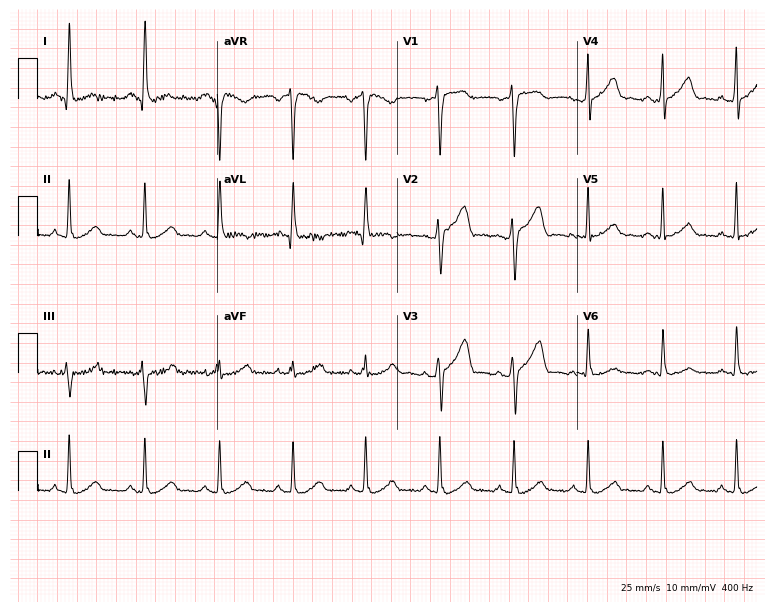
12-lead ECG from a woman, 34 years old. No first-degree AV block, right bundle branch block (RBBB), left bundle branch block (LBBB), sinus bradycardia, atrial fibrillation (AF) or sinus tachycardia recorded for this tracing. Findings outside these six are not listed.